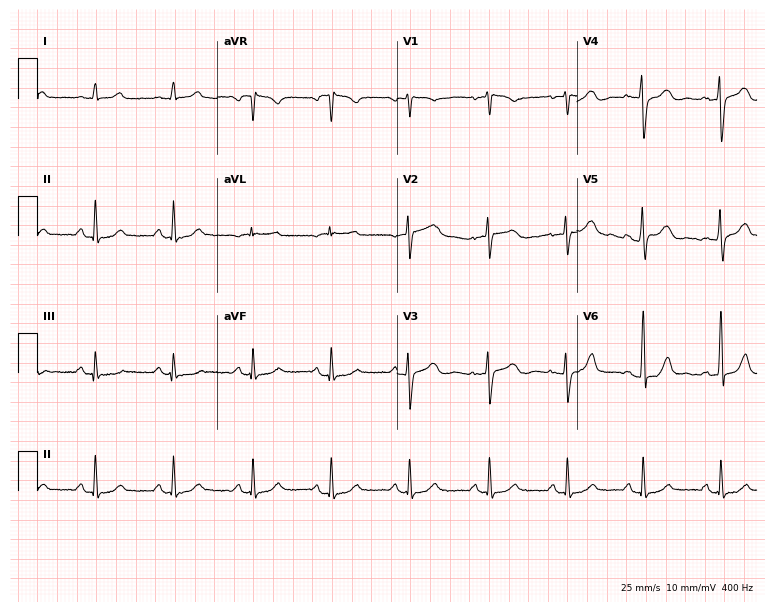
Resting 12-lead electrocardiogram. Patient: a female, 32 years old. Read as a normal ECG.